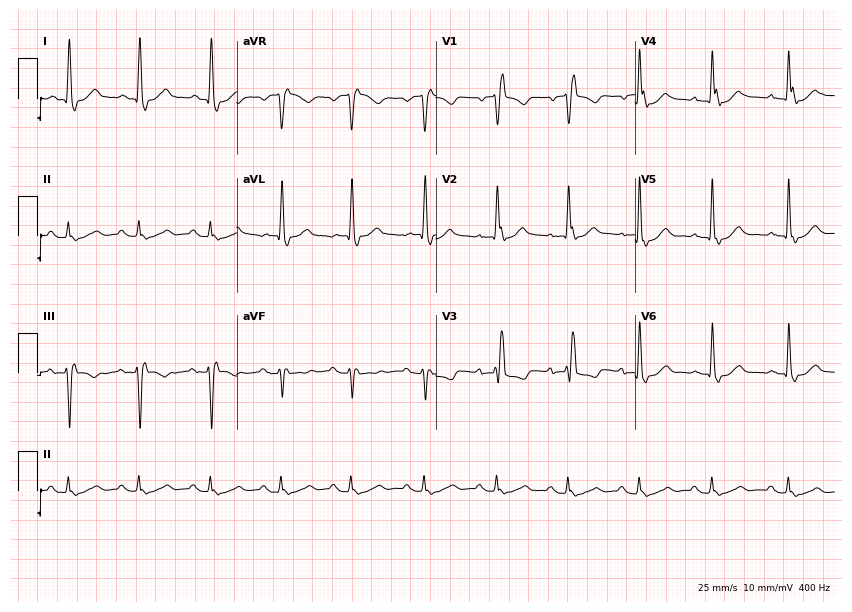
ECG — a female, 74 years old. Findings include right bundle branch block.